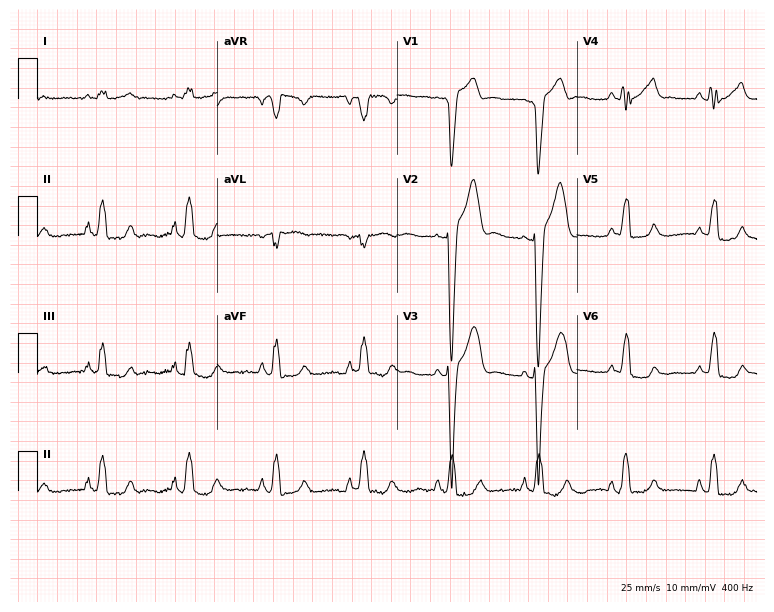
ECG (7.3-second recording at 400 Hz) — a 70-year-old male patient. Findings include left bundle branch block (LBBB).